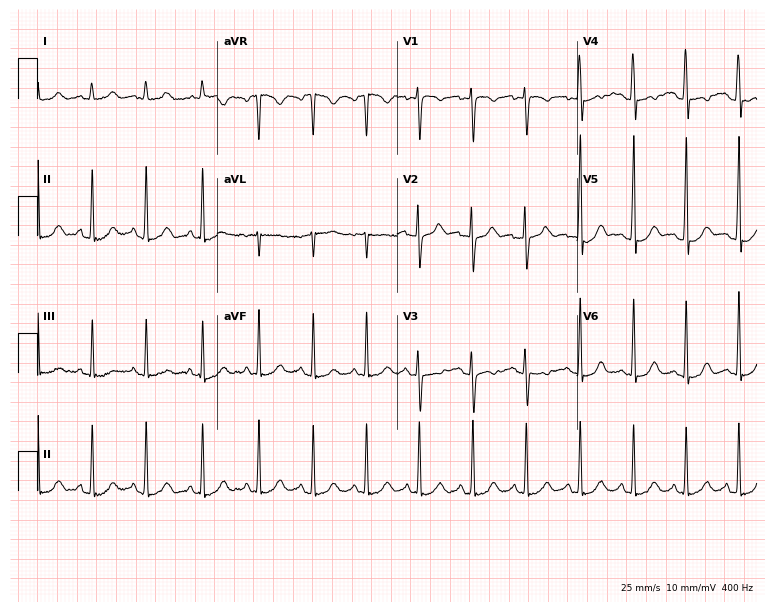
12-lead ECG from a 20-year-old female (7.3-second recording at 400 Hz). No first-degree AV block, right bundle branch block (RBBB), left bundle branch block (LBBB), sinus bradycardia, atrial fibrillation (AF) or sinus tachycardia recorded for this tracing.